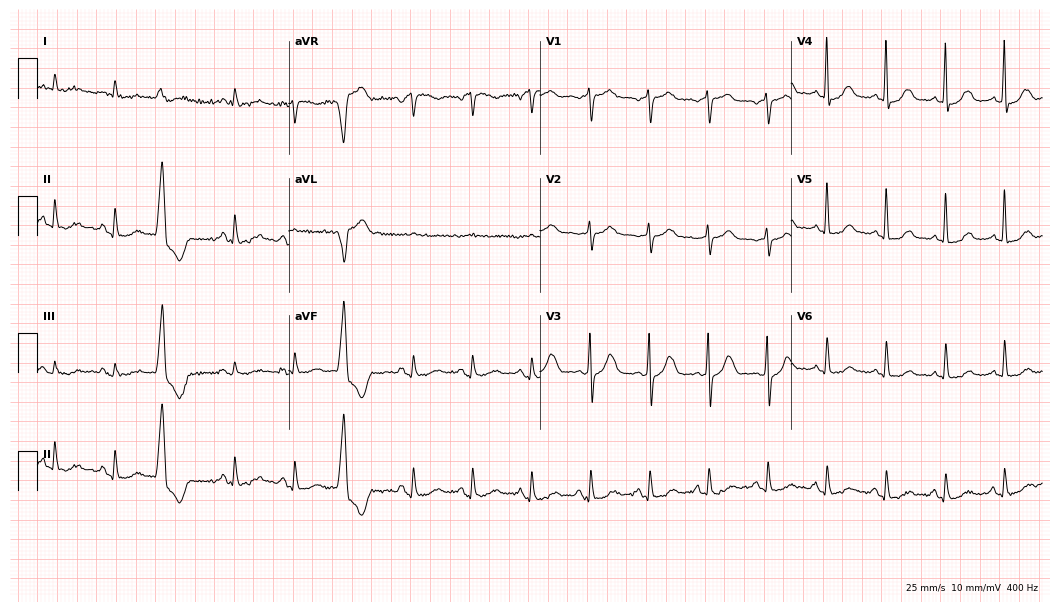
Electrocardiogram (10.2-second recording at 400 Hz), a woman, 81 years old. Of the six screened findings (first-degree AV block, right bundle branch block (RBBB), left bundle branch block (LBBB), sinus bradycardia, atrial fibrillation (AF), sinus tachycardia), none is recorded. Only these six findings were labelled.